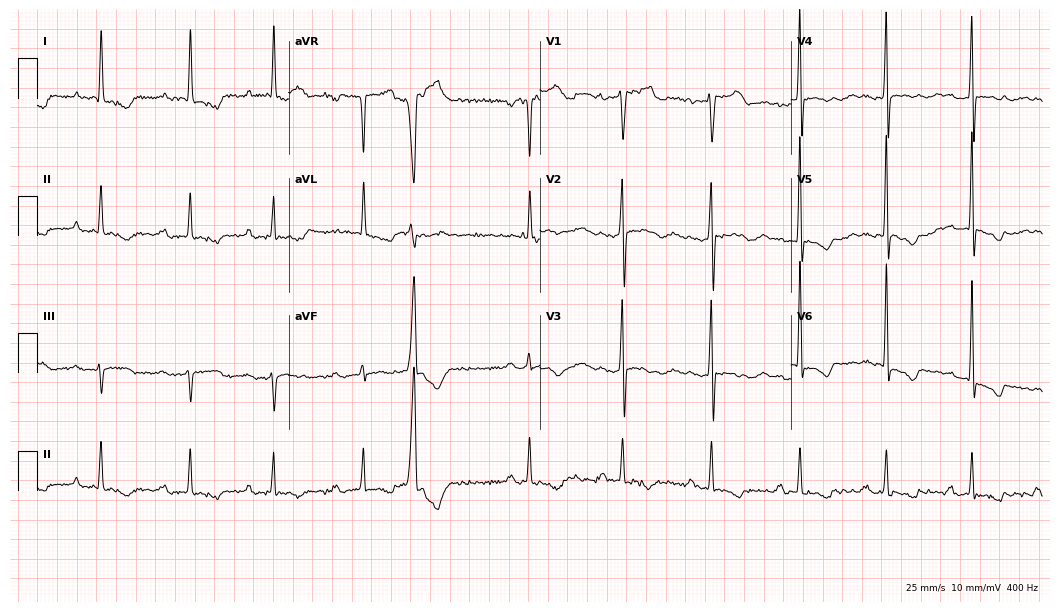
12-lead ECG (10.2-second recording at 400 Hz) from a female, 83 years old. Findings include first-degree AV block.